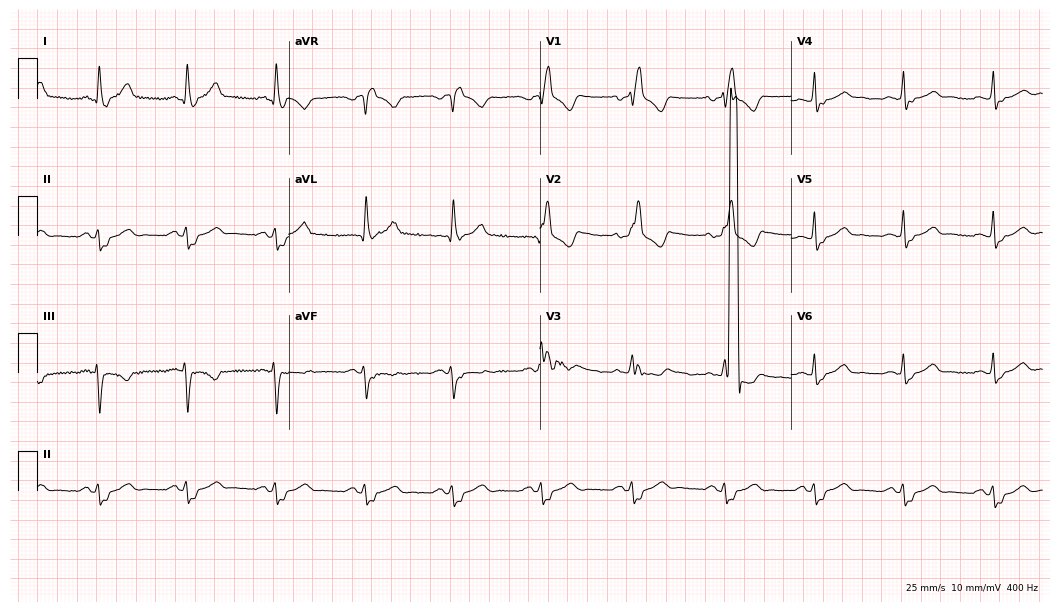
ECG — a woman, 59 years old. Findings include right bundle branch block.